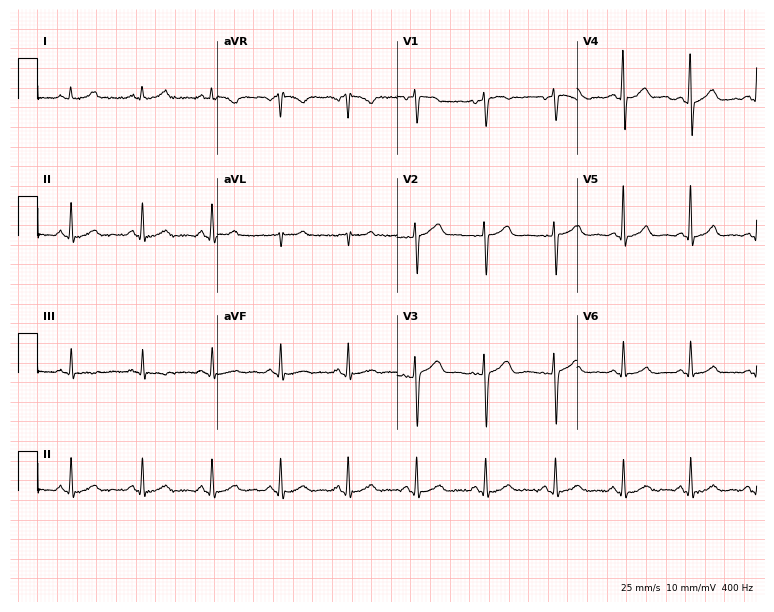
Electrocardiogram (7.3-second recording at 400 Hz), a 56-year-old female. Overall reading on record: normal ECG.